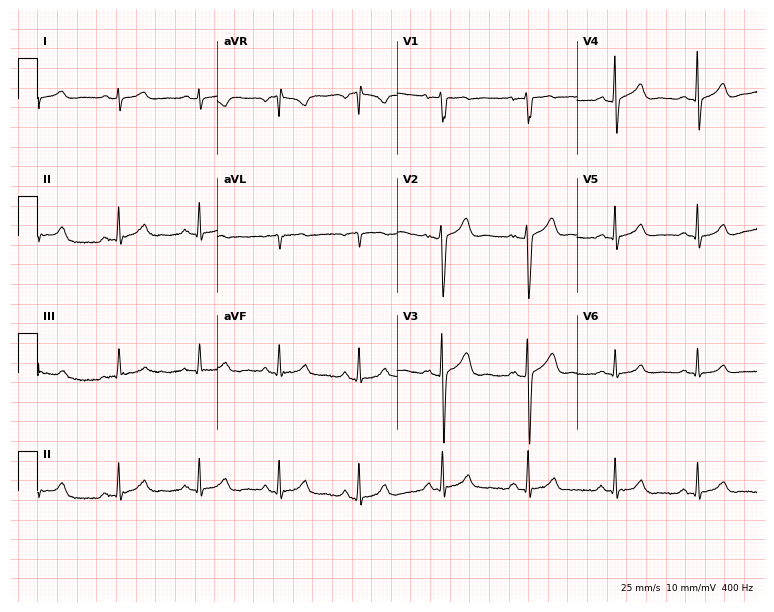
Electrocardiogram, a 33-year-old male. Overall reading on record: normal ECG.